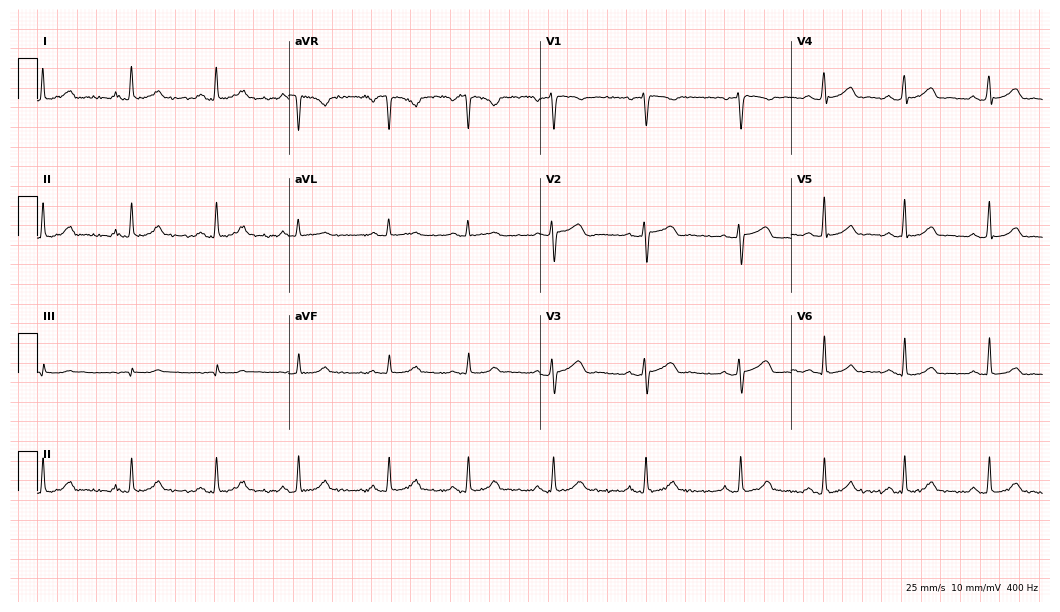
Standard 12-lead ECG recorded from a female, 34 years old. Read as a normal ECG.